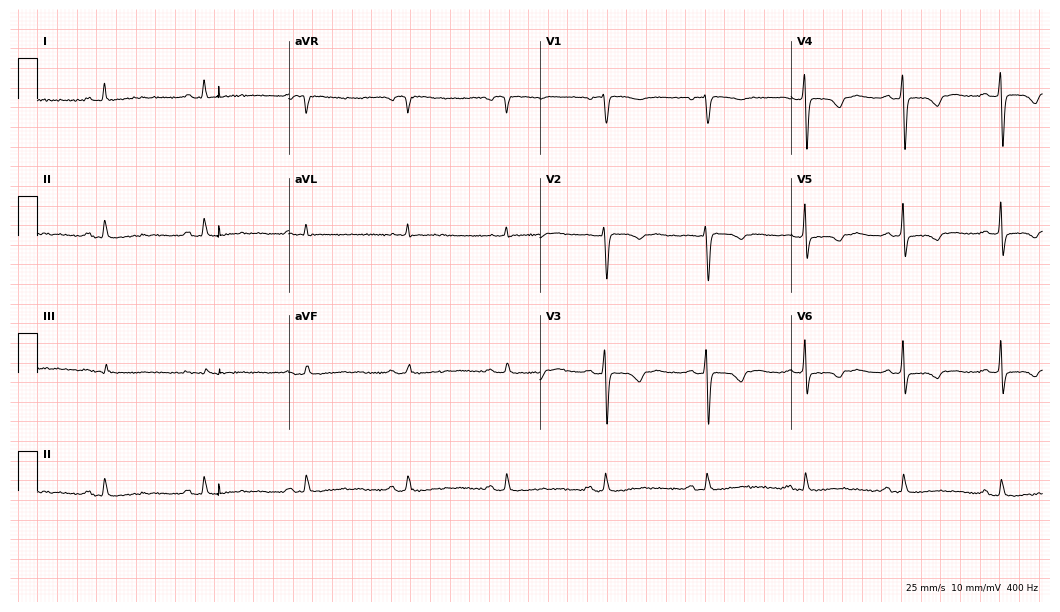
12-lead ECG from a female patient, 55 years old (10.2-second recording at 400 Hz). No first-degree AV block, right bundle branch block, left bundle branch block, sinus bradycardia, atrial fibrillation or sinus tachycardia recorded for this tracing. Other findings, if any, are not listed.